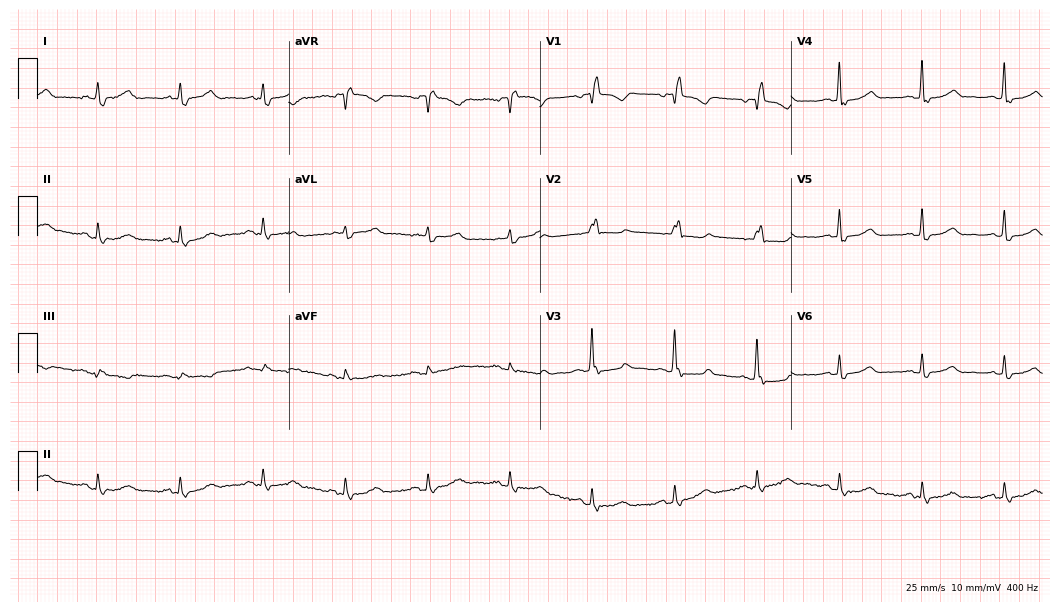
12-lead ECG from a female patient, 84 years old. Findings include right bundle branch block (RBBB).